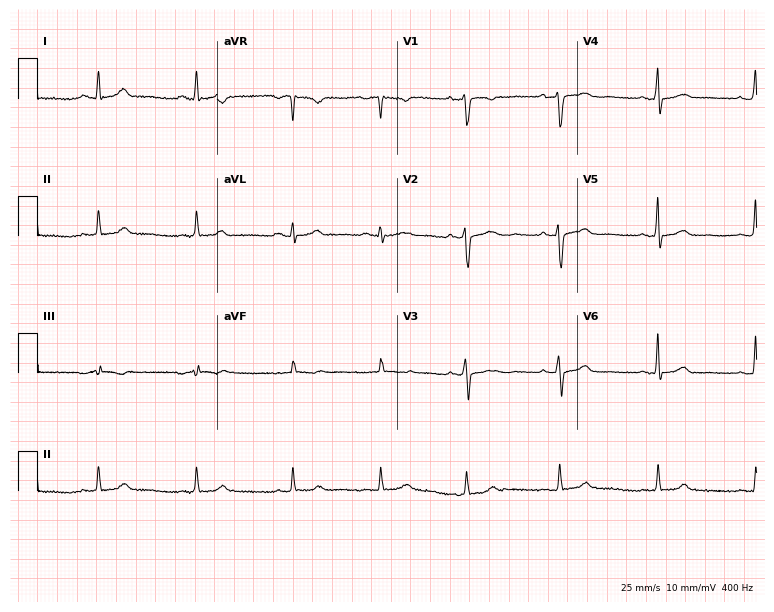
Electrocardiogram, a 43-year-old woman. Of the six screened findings (first-degree AV block, right bundle branch block (RBBB), left bundle branch block (LBBB), sinus bradycardia, atrial fibrillation (AF), sinus tachycardia), none is recorded. Only these six findings were labelled.